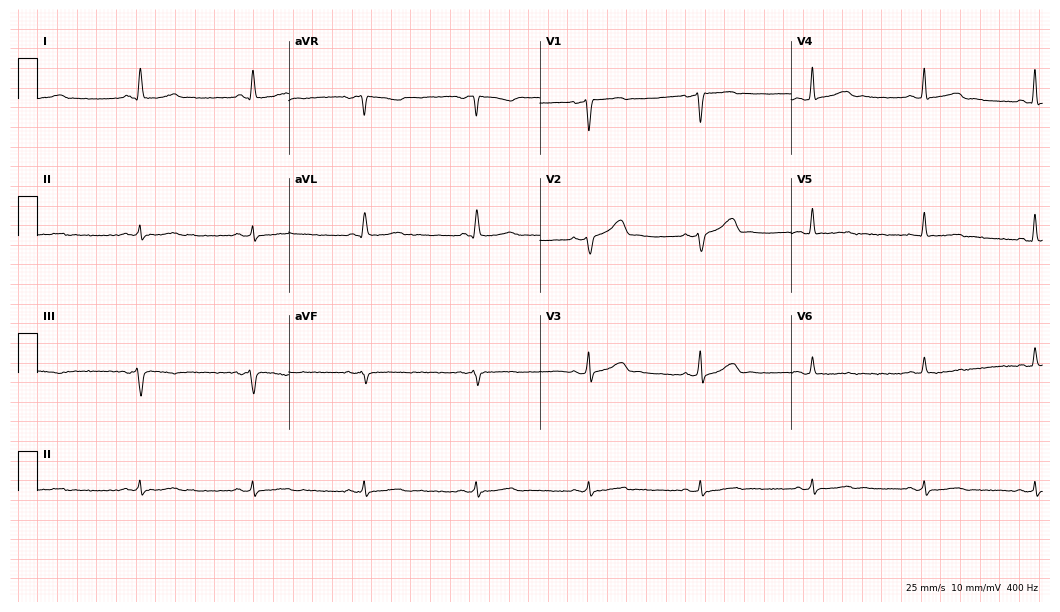
Electrocardiogram, a male, 68 years old. Overall reading on record: normal ECG.